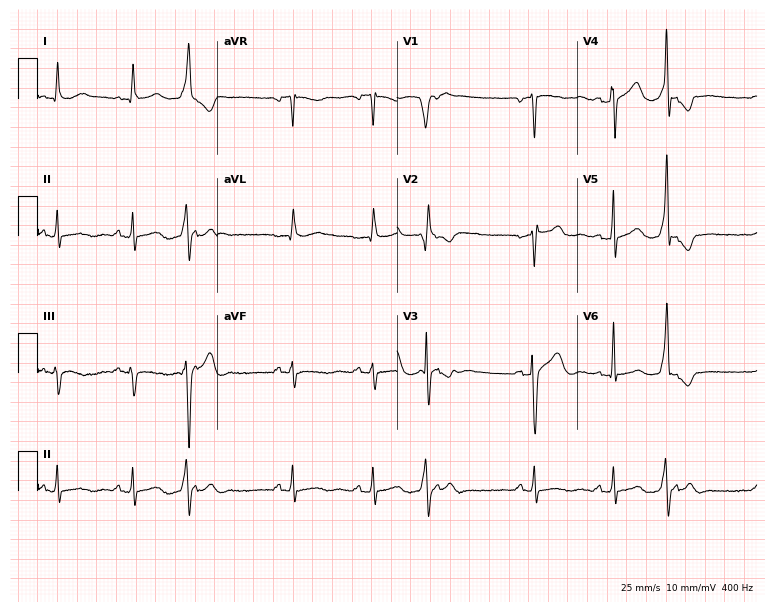
Resting 12-lead electrocardiogram. Patient: a 46-year-old man. Read as a normal ECG.